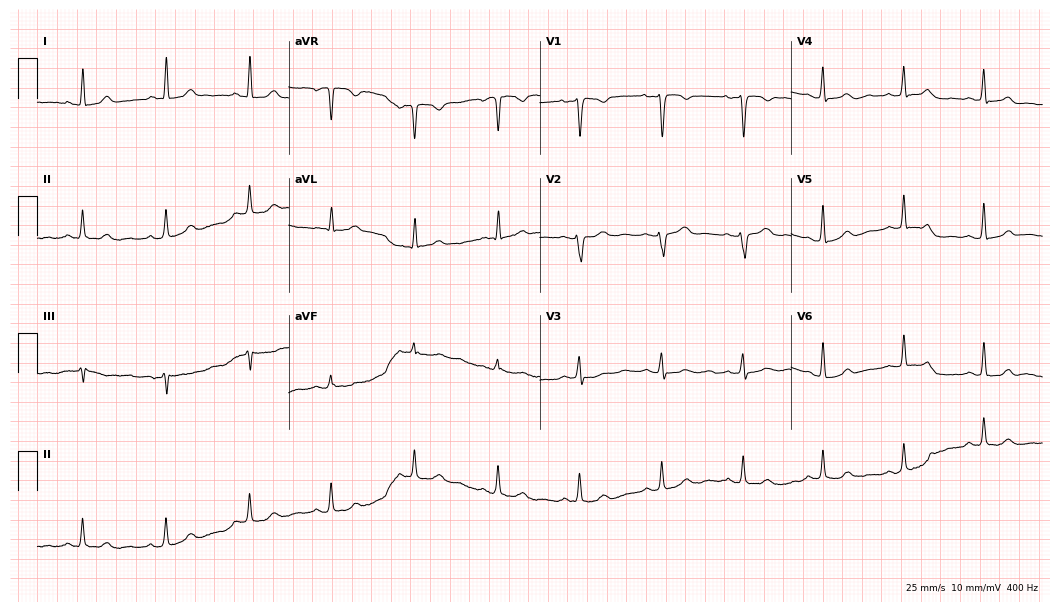
12-lead ECG (10.2-second recording at 400 Hz) from a female patient, 50 years old. Labelled as a normal ECG.